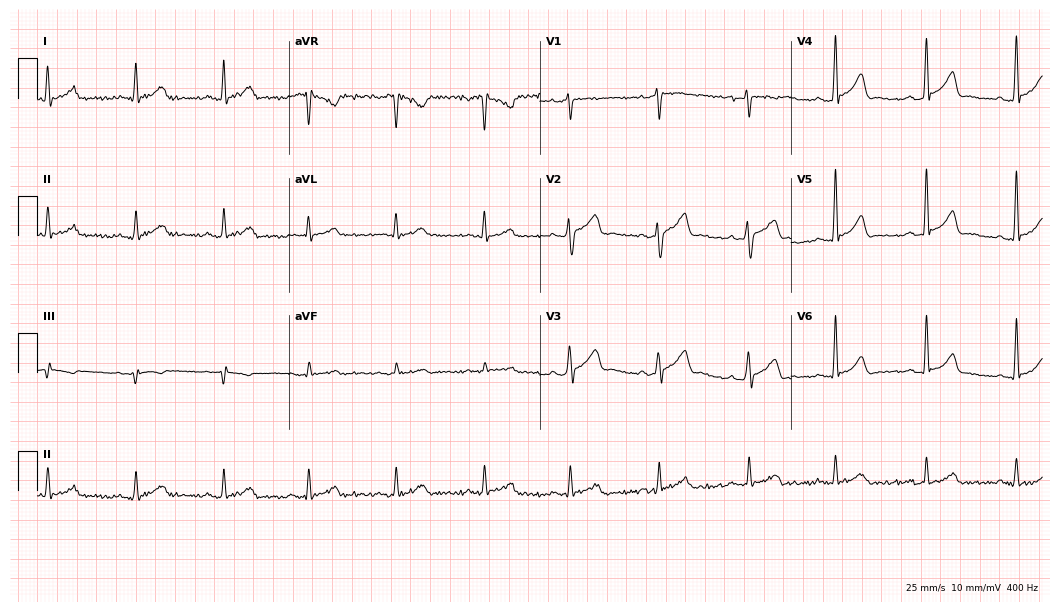
ECG (10.2-second recording at 400 Hz) — a male patient, 47 years old. Labelled as a normal ECG.